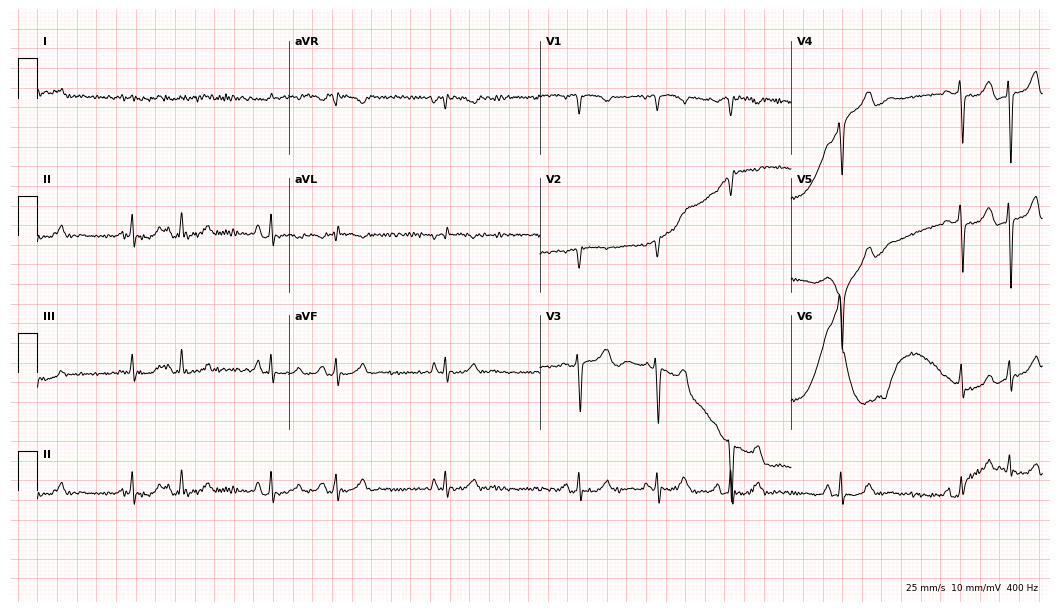
Electrocardiogram, an 82-year-old man. Of the six screened findings (first-degree AV block, right bundle branch block, left bundle branch block, sinus bradycardia, atrial fibrillation, sinus tachycardia), none is recorded. Only these six findings were labelled.